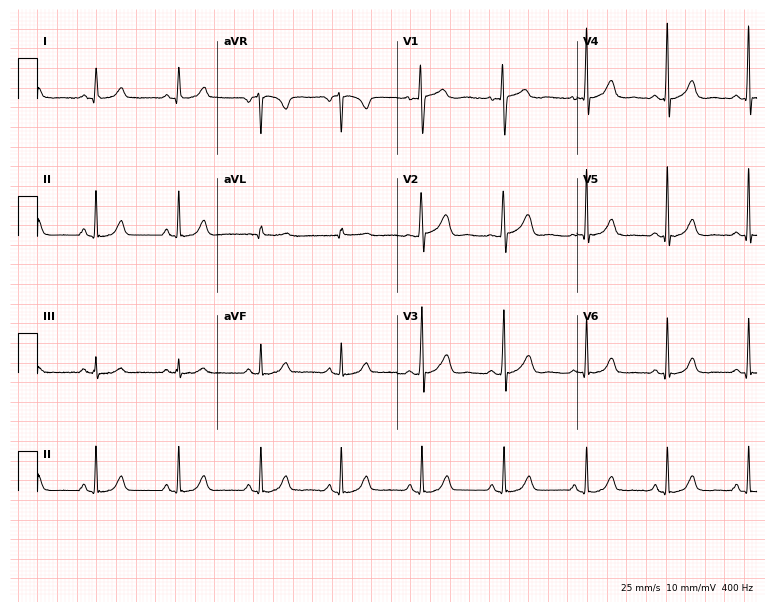
12-lead ECG from a woman, 49 years old. No first-degree AV block, right bundle branch block (RBBB), left bundle branch block (LBBB), sinus bradycardia, atrial fibrillation (AF) or sinus tachycardia recorded for this tracing.